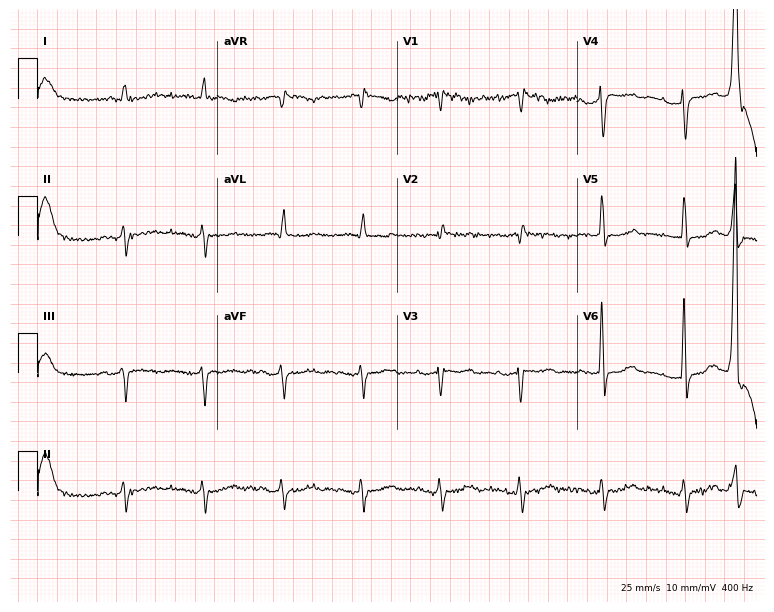
12-lead ECG (7.3-second recording at 400 Hz) from a 74-year-old woman. Screened for six findings — first-degree AV block, right bundle branch block (RBBB), left bundle branch block (LBBB), sinus bradycardia, atrial fibrillation (AF), sinus tachycardia — none is recorded.